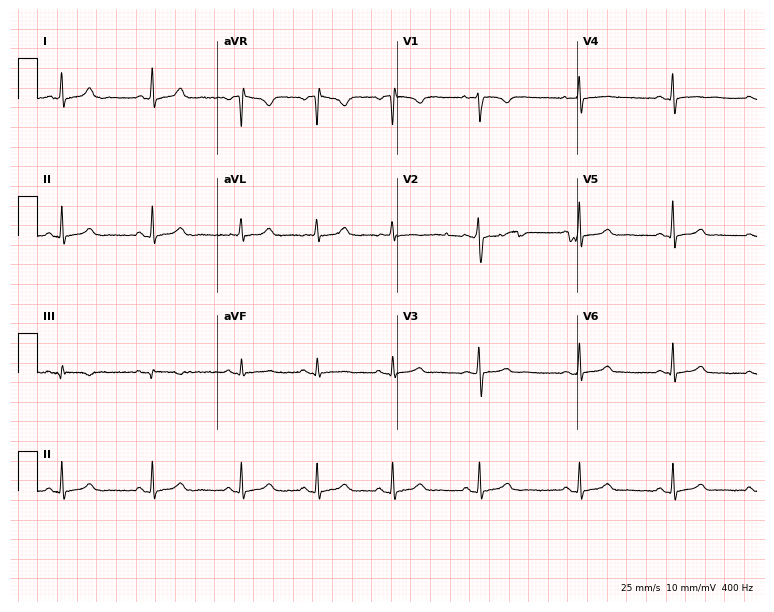
Resting 12-lead electrocardiogram (7.3-second recording at 400 Hz). Patient: a 31-year-old woman. Read as a normal ECG.